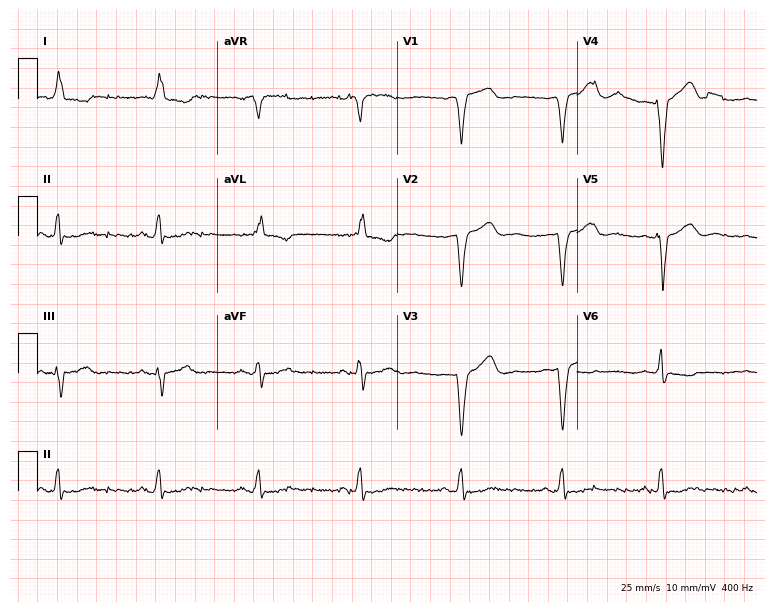
Electrocardiogram, a female patient, 77 years old. Of the six screened findings (first-degree AV block, right bundle branch block, left bundle branch block, sinus bradycardia, atrial fibrillation, sinus tachycardia), none is recorded.